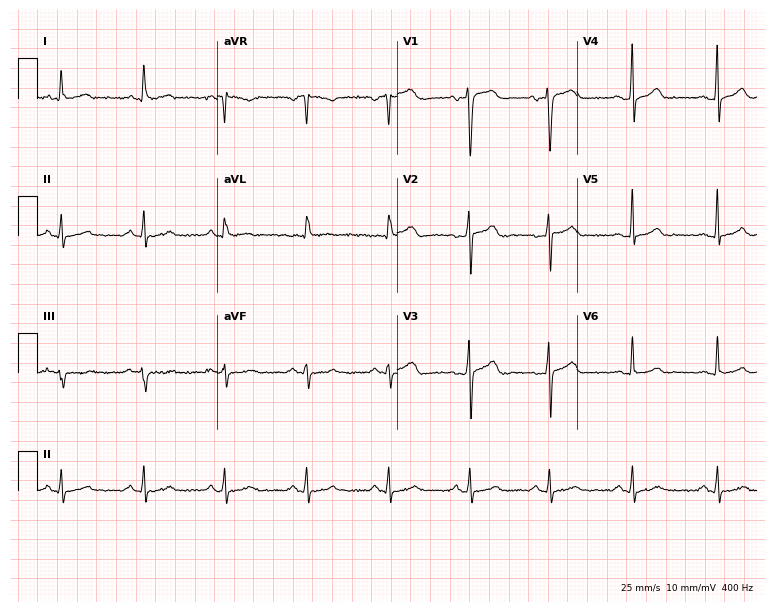
12-lead ECG (7.3-second recording at 400 Hz) from a 36-year-old male. Screened for six findings — first-degree AV block, right bundle branch block, left bundle branch block, sinus bradycardia, atrial fibrillation, sinus tachycardia — none is recorded.